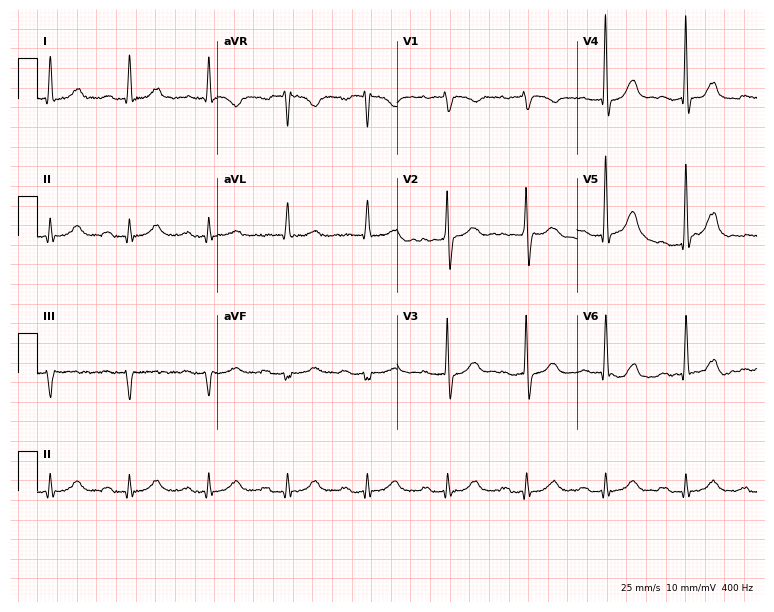
12-lead ECG (7.3-second recording at 400 Hz) from a female, 77 years old. Screened for six findings — first-degree AV block, right bundle branch block, left bundle branch block, sinus bradycardia, atrial fibrillation, sinus tachycardia — none is recorded.